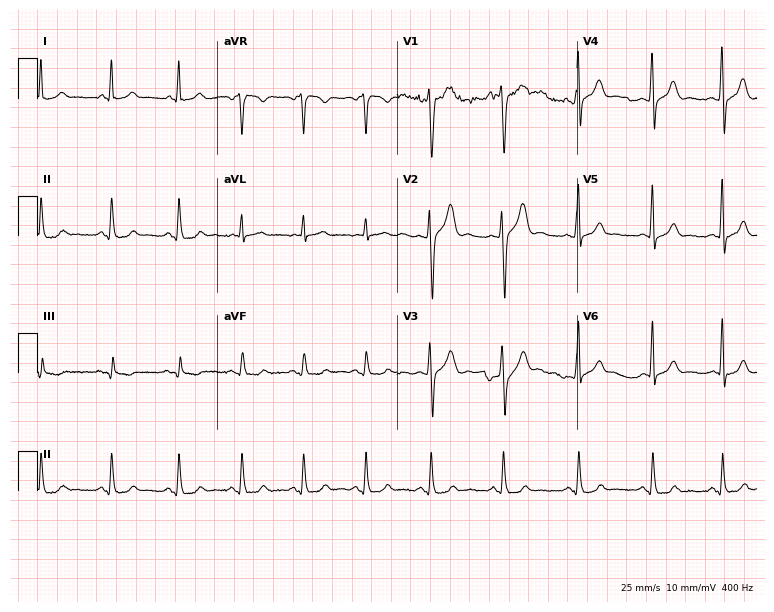
12-lead ECG from a 28-year-old male patient. Screened for six findings — first-degree AV block, right bundle branch block, left bundle branch block, sinus bradycardia, atrial fibrillation, sinus tachycardia — none is recorded.